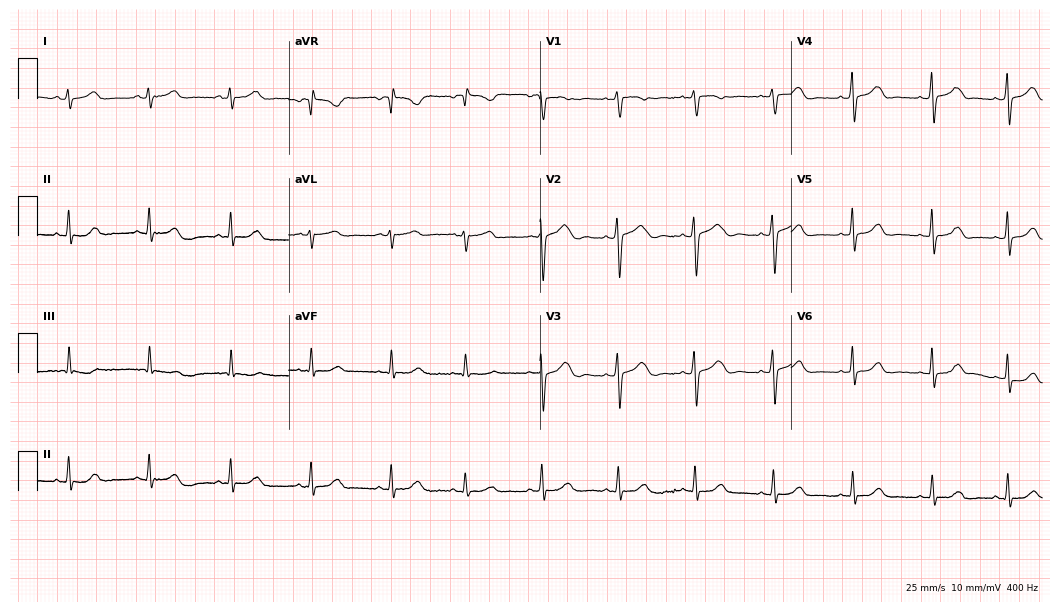
12-lead ECG (10.2-second recording at 400 Hz) from a woman, 29 years old. Labelled as a normal ECG.